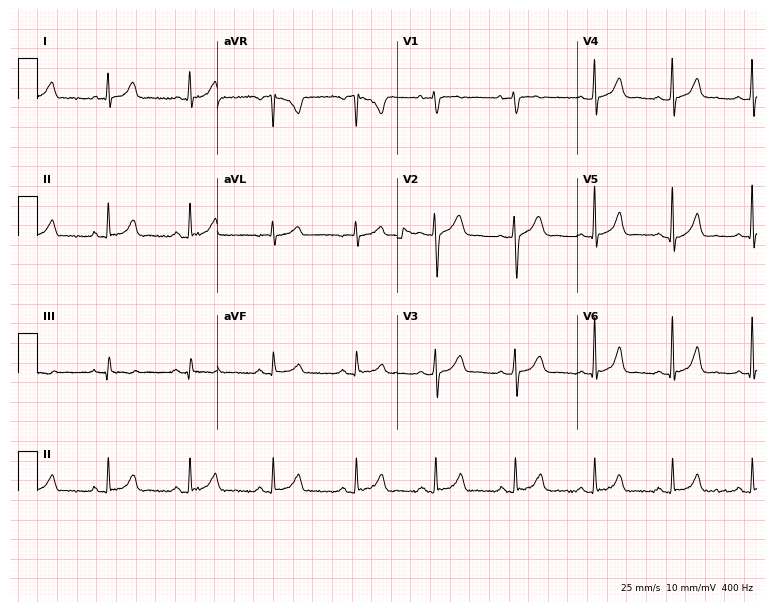
Resting 12-lead electrocardiogram. Patient: a 30-year-old male. Read as a normal ECG.